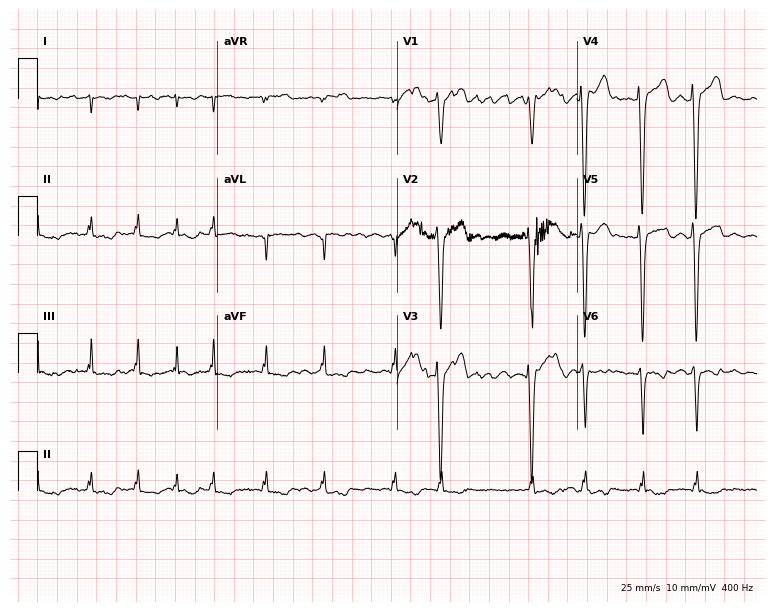
ECG (7.3-second recording at 400 Hz) — a 51-year-old man. Findings include atrial fibrillation (AF).